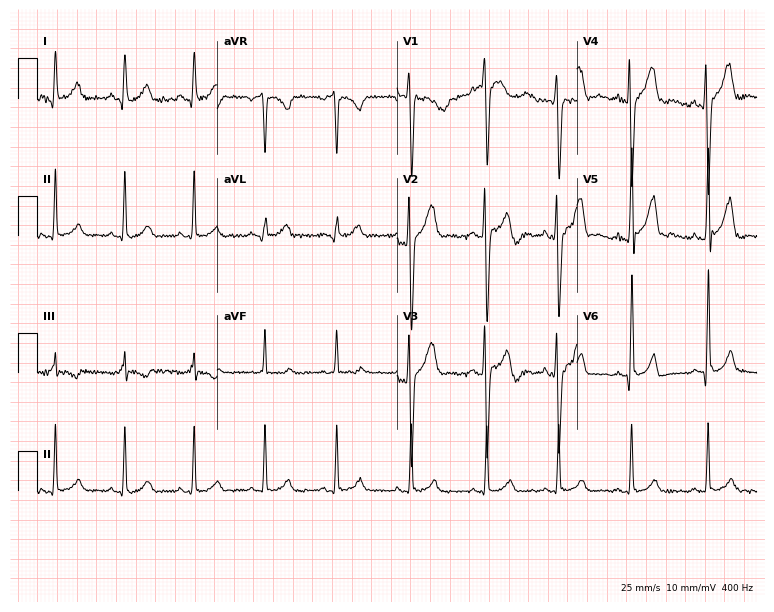
ECG — a 19-year-old male patient. Labelled as a normal ECG.